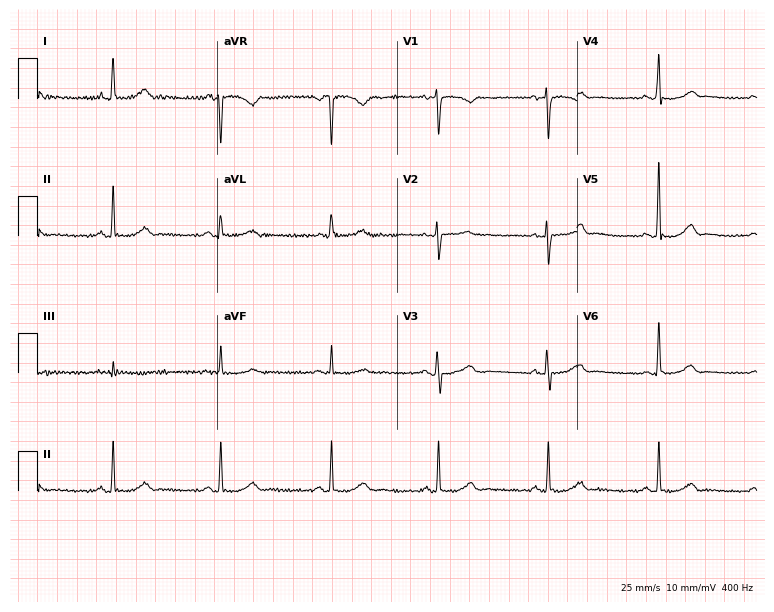
Electrocardiogram (7.3-second recording at 400 Hz), a 56-year-old female patient. Of the six screened findings (first-degree AV block, right bundle branch block, left bundle branch block, sinus bradycardia, atrial fibrillation, sinus tachycardia), none is recorded. Findings outside these six are not listed.